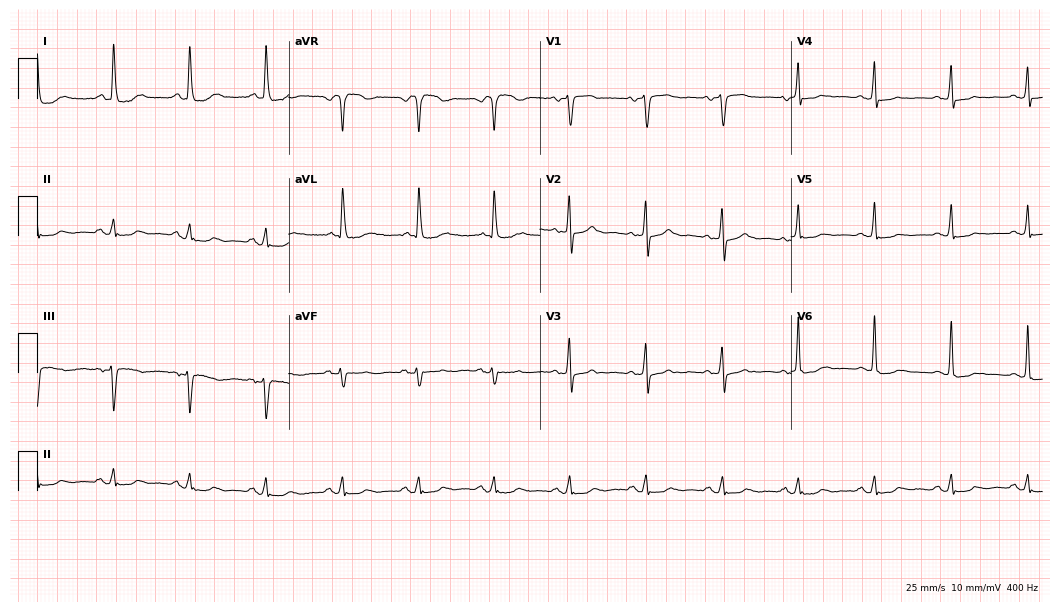
Resting 12-lead electrocardiogram (10.2-second recording at 400 Hz). Patient: an 83-year-old female. None of these six findings is recorded: first-degree AV block, right bundle branch block, left bundle branch block, sinus bradycardia, atrial fibrillation, sinus tachycardia. Only these six findings were labelled.